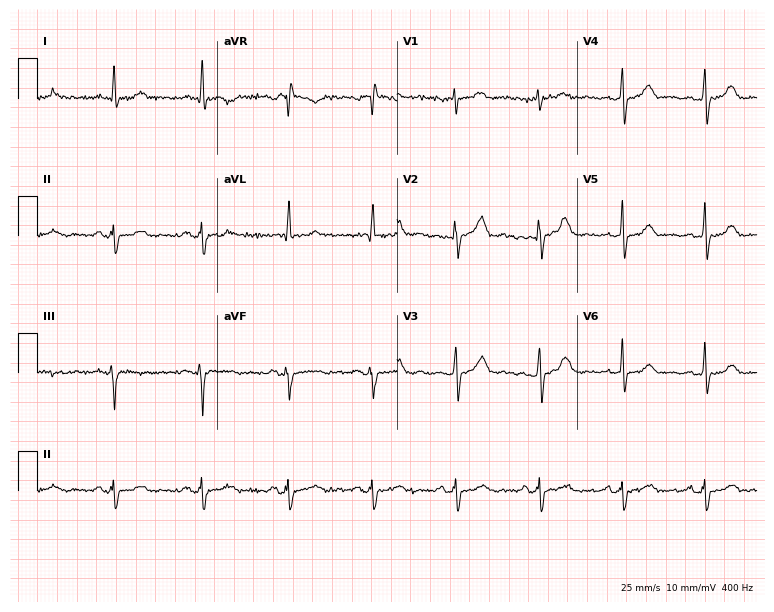
Standard 12-lead ECG recorded from a male, 64 years old (7.3-second recording at 400 Hz). Read as a normal ECG.